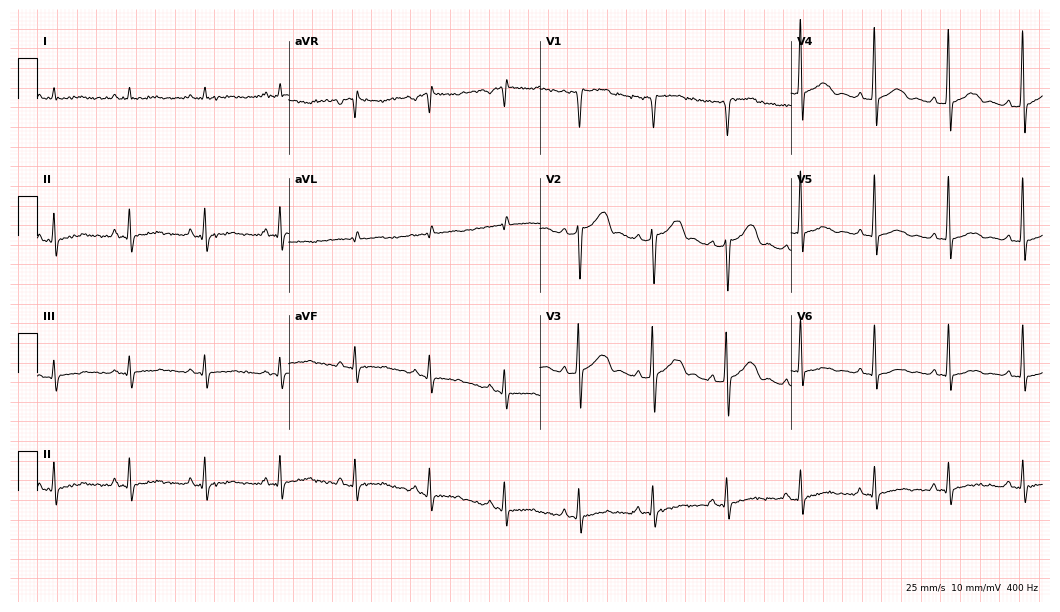
Resting 12-lead electrocardiogram (10.2-second recording at 400 Hz). Patient: a man, 65 years old. None of these six findings is recorded: first-degree AV block, right bundle branch block, left bundle branch block, sinus bradycardia, atrial fibrillation, sinus tachycardia.